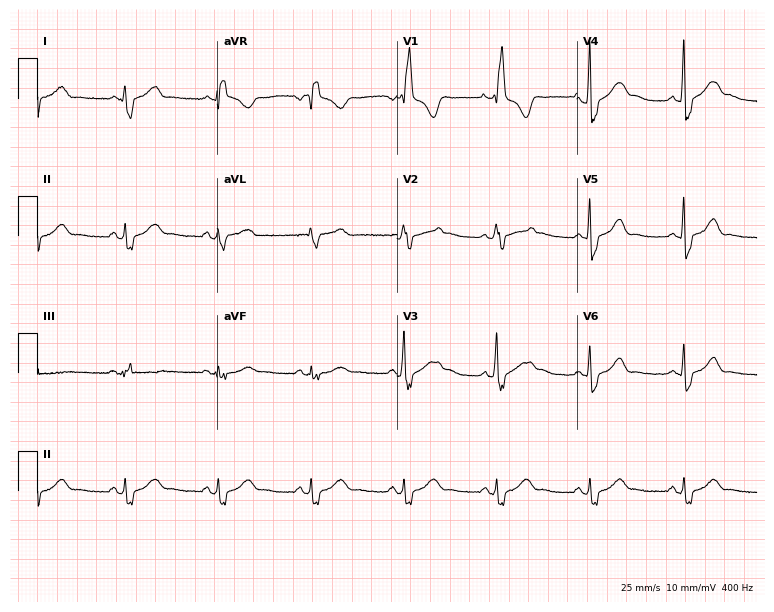
Standard 12-lead ECG recorded from a 60-year-old female (7.3-second recording at 400 Hz). The tracing shows right bundle branch block.